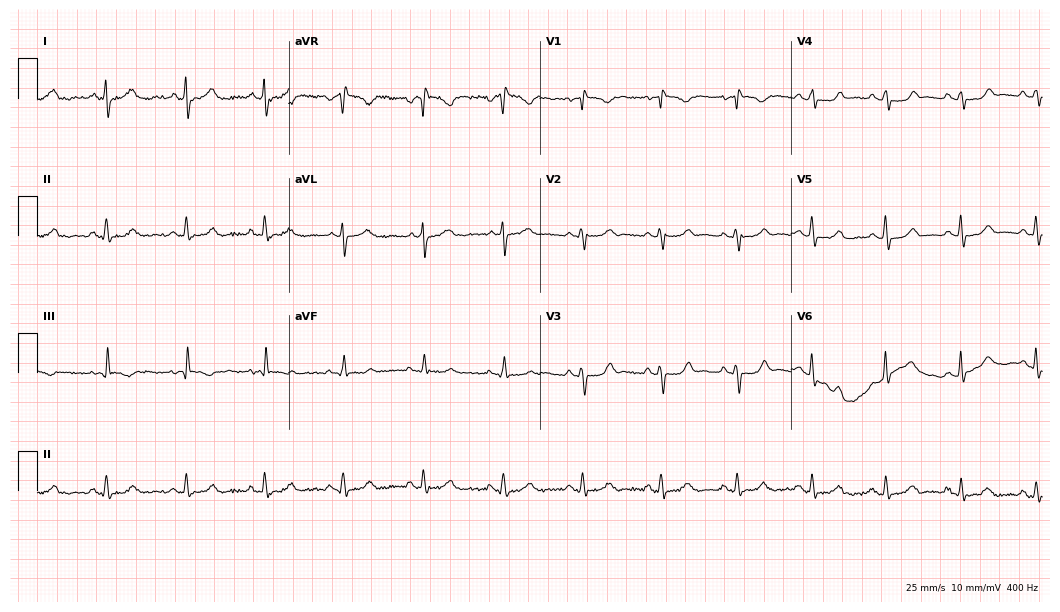
Resting 12-lead electrocardiogram (10.2-second recording at 400 Hz). Patient: a woman, 56 years old. None of these six findings is recorded: first-degree AV block, right bundle branch block, left bundle branch block, sinus bradycardia, atrial fibrillation, sinus tachycardia.